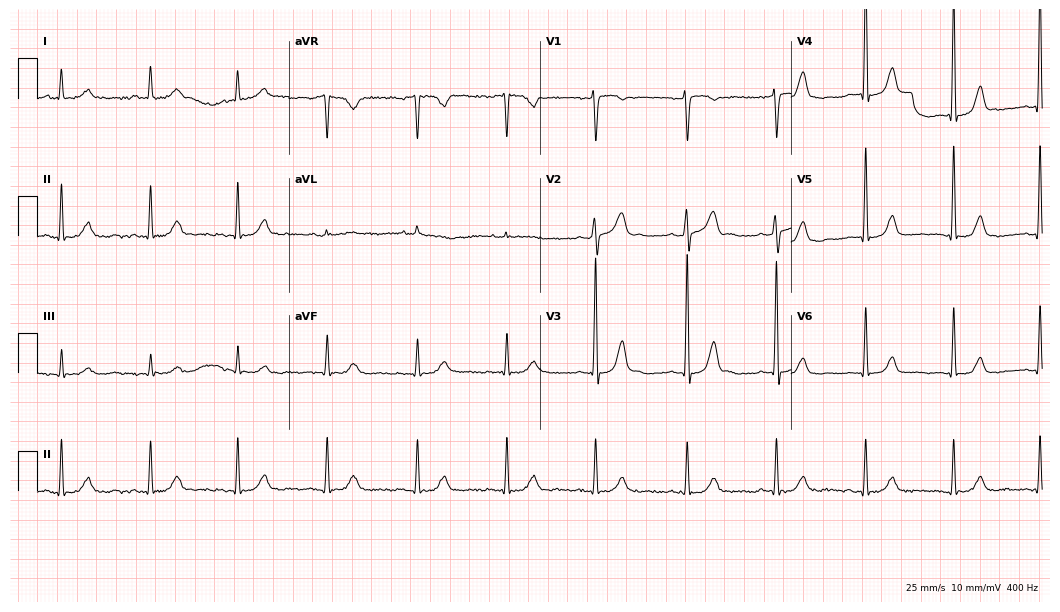
12-lead ECG from a 60-year-old woman. Labelled as a normal ECG.